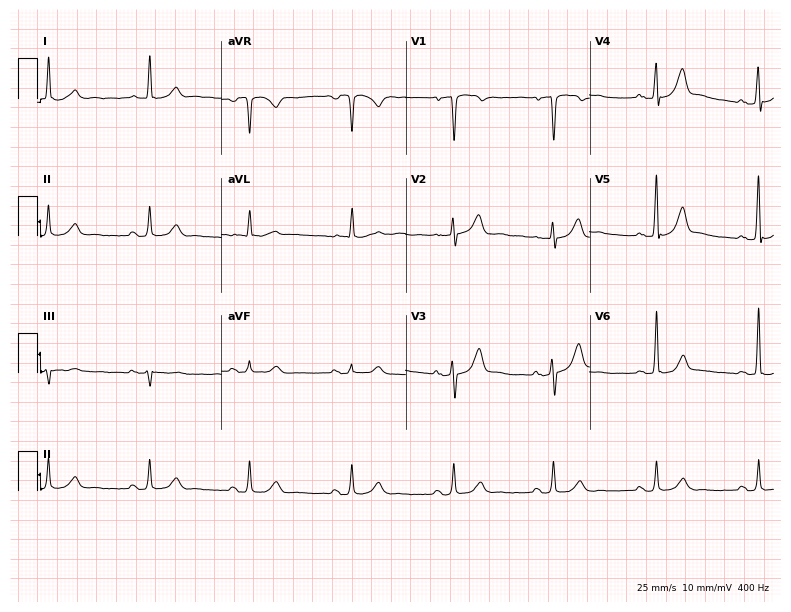
Electrocardiogram, a 74-year-old male. Of the six screened findings (first-degree AV block, right bundle branch block, left bundle branch block, sinus bradycardia, atrial fibrillation, sinus tachycardia), none is recorded.